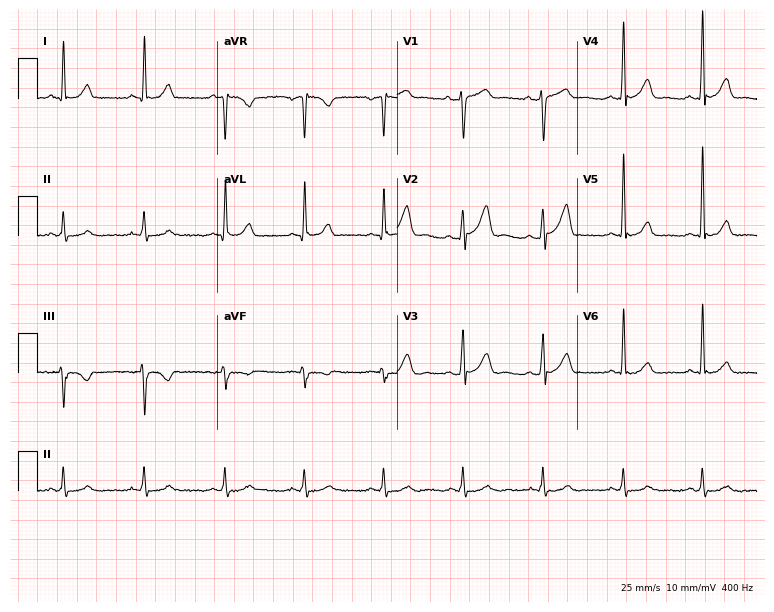
12-lead ECG (7.3-second recording at 400 Hz) from a 42-year-old male. Labelled as a normal ECG.